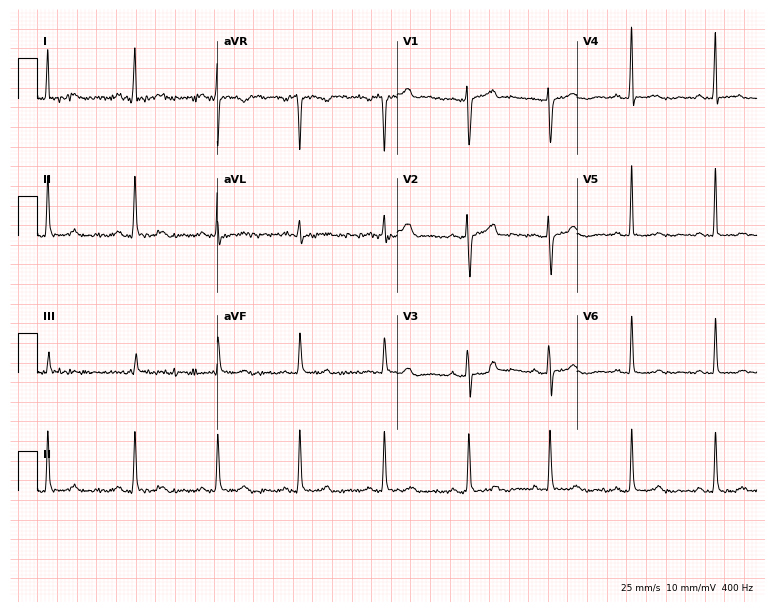
12-lead ECG from a woman, 48 years old. No first-degree AV block, right bundle branch block, left bundle branch block, sinus bradycardia, atrial fibrillation or sinus tachycardia recorded for this tracing. Other findings, if any, are not listed.